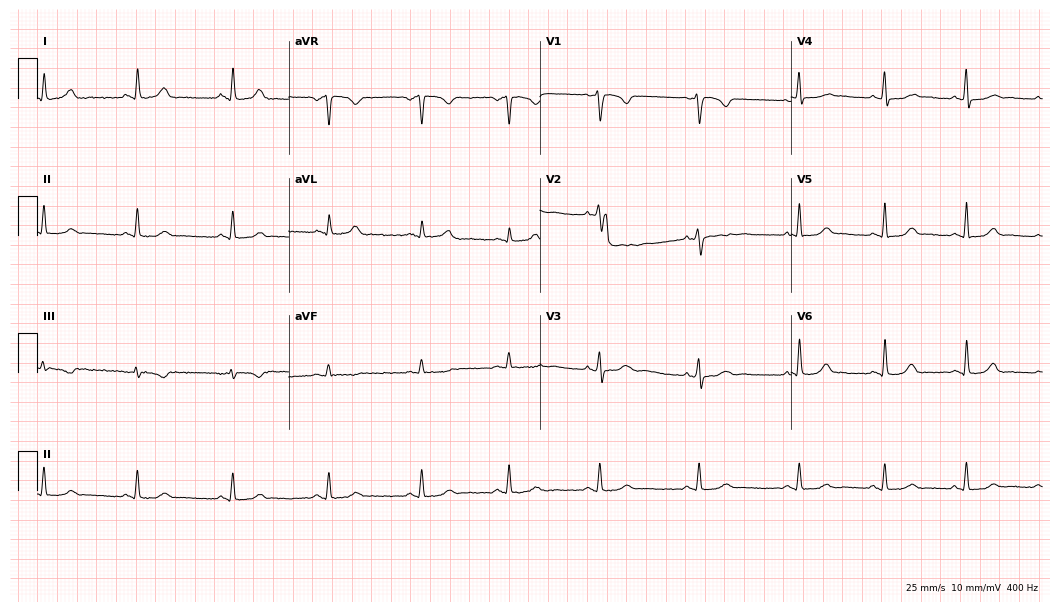
Standard 12-lead ECG recorded from a female, 34 years old (10.2-second recording at 400 Hz). Read as a normal ECG.